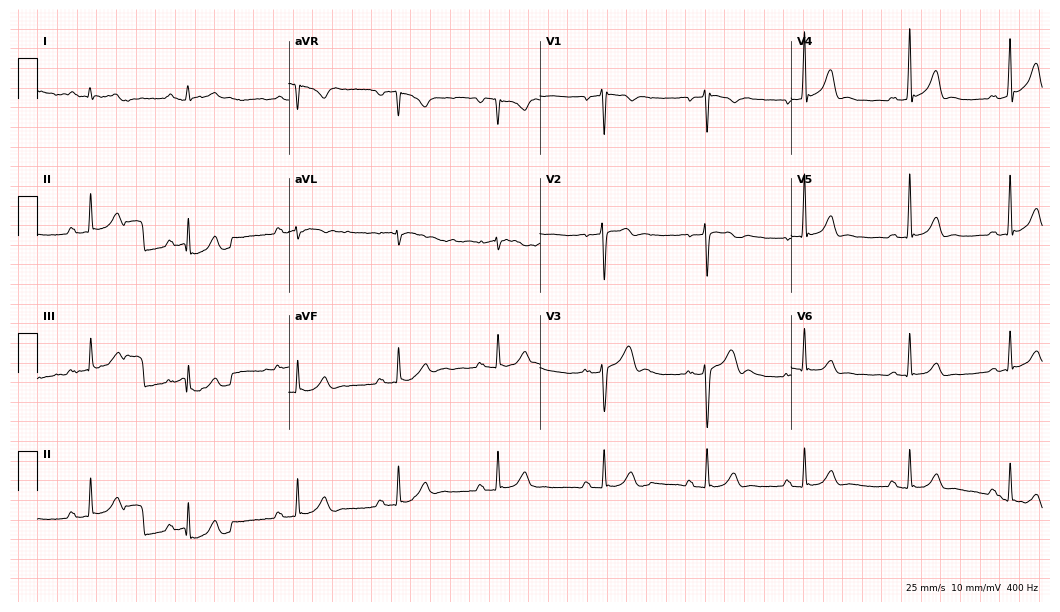
Resting 12-lead electrocardiogram. Patient: a 24-year-old male. None of these six findings is recorded: first-degree AV block, right bundle branch block (RBBB), left bundle branch block (LBBB), sinus bradycardia, atrial fibrillation (AF), sinus tachycardia. Findings outside these six are not listed.